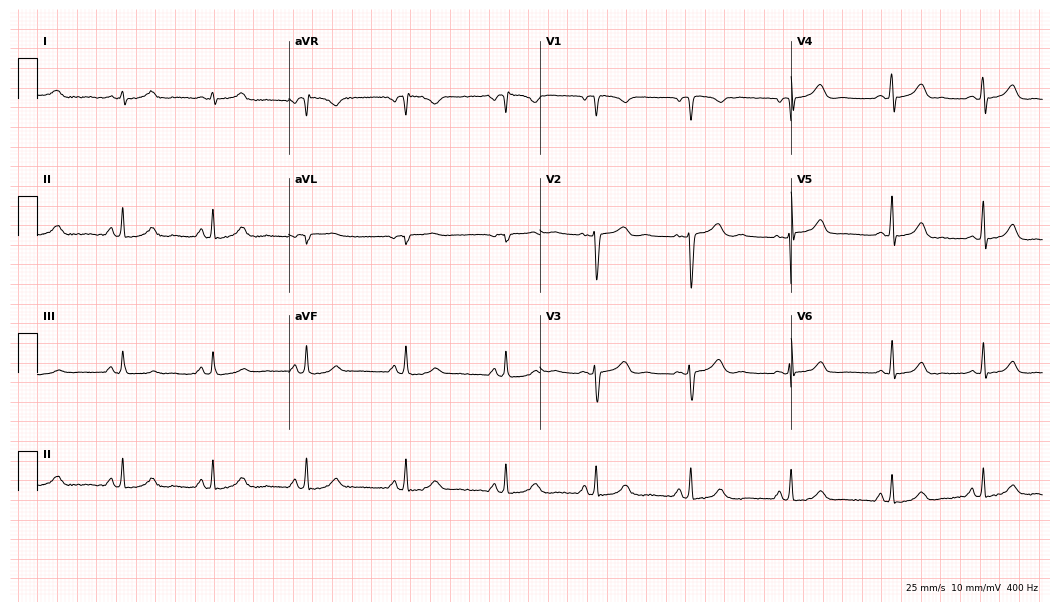
12-lead ECG from a 33-year-old female patient (10.2-second recording at 400 Hz). Recorded interpretation: within normal limits.